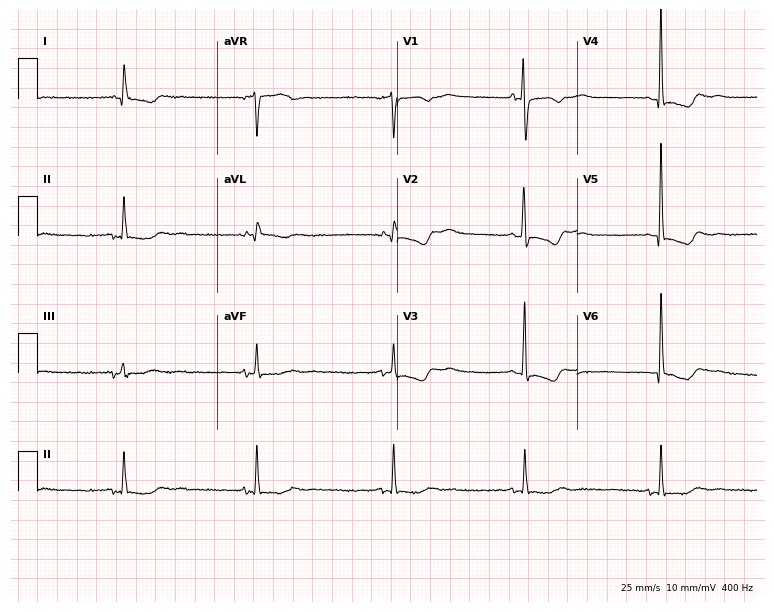
12-lead ECG from a 67-year-old woman. Findings include sinus bradycardia (a sinus rate of 50 beats per minute or less).